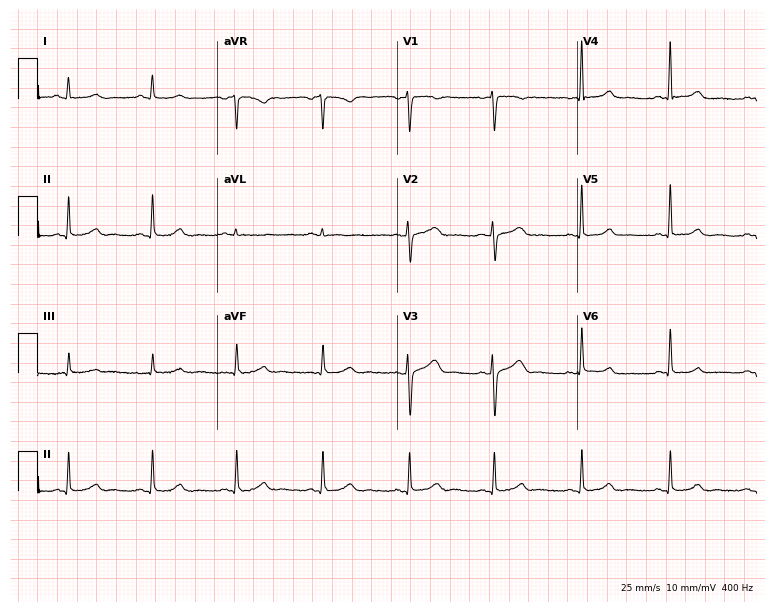
ECG (7.3-second recording at 400 Hz) — a 42-year-old woman. Labelled as a normal ECG.